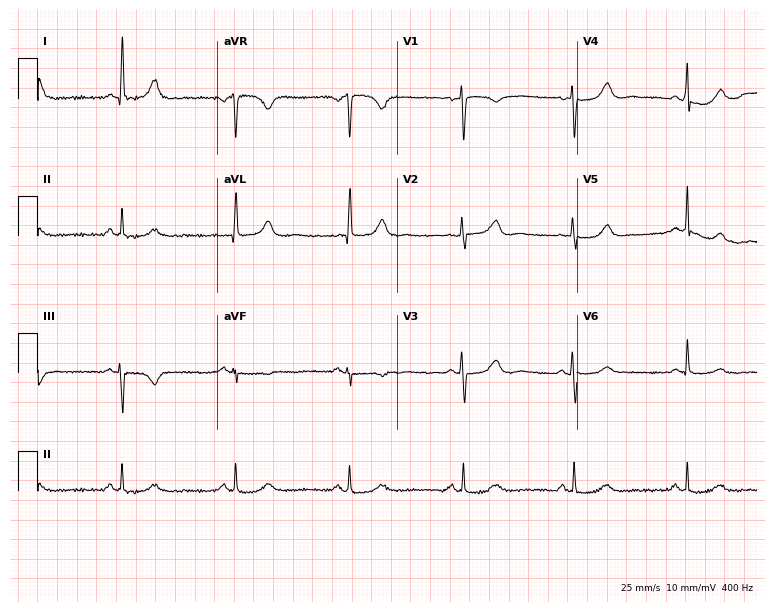
12-lead ECG from a 49-year-old female. Screened for six findings — first-degree AV block, right bundle branch block, left bundle branch block, sinus bradycardia, atrial fibrillation, sinus tachycardia — none is recorded. Findings outside these six are not listed.